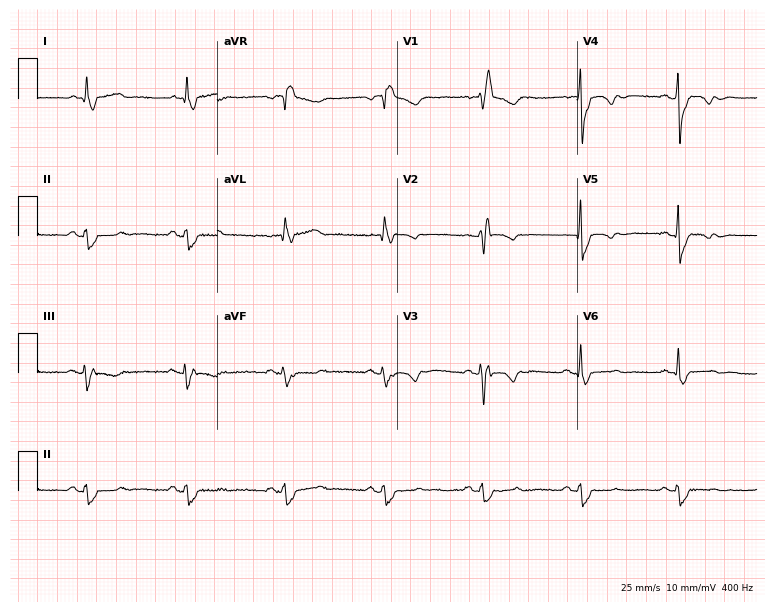
Resting 12-lead electrocardiogram (7.3-second recording at 400 Hz). Patient: a female, 76 years old. None of these six findings is recorded: first-degree AV block, right bundle branch block, left bundle branch block, sinus bradycardia, atrial fibrillation, sinus tachycardia. Other findings, if any, are not listed.